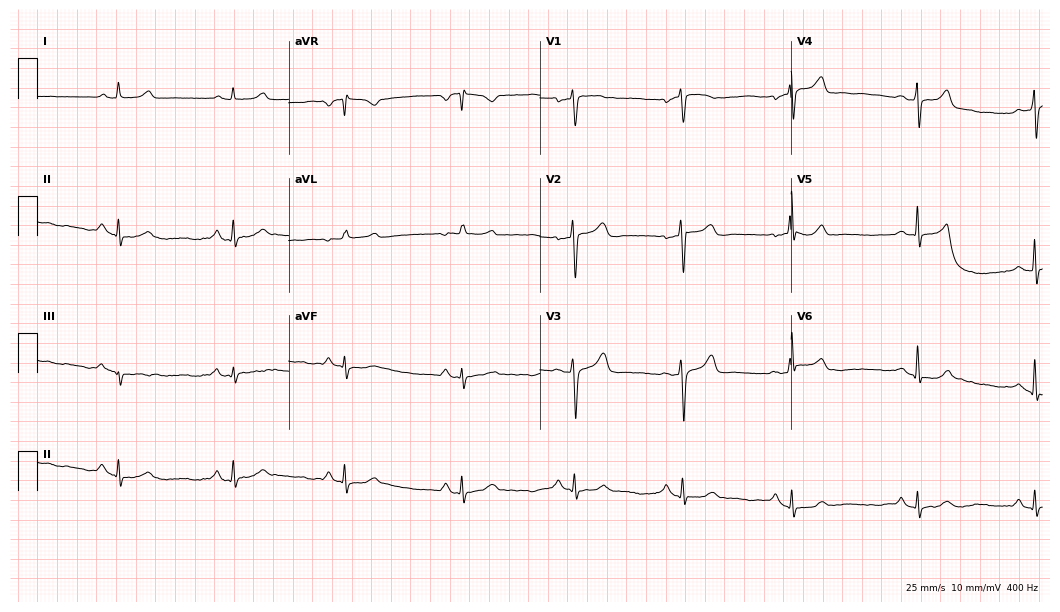
Standard 12-lead ECG recorded from a 51-year-old man (10.2-second recording at 400 Hz). Read as a normal ECG.